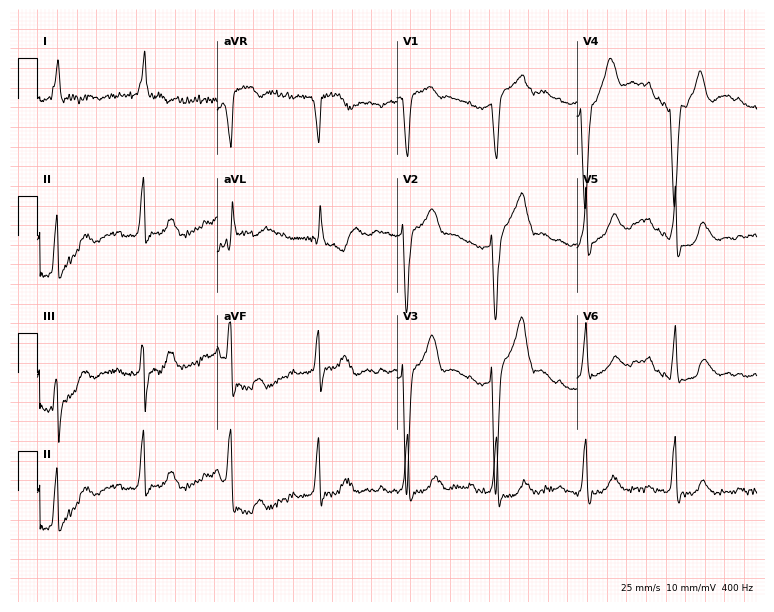
Electrocardiogram, a 78-year-old female patient. Of the six screened findings (first-degree AV block, right bundle branch block (RBBB), left bundle branch block (LBBB), sinus bradycardia, atrial fibrillation (AF), sinus tachycardia), none is recorded.